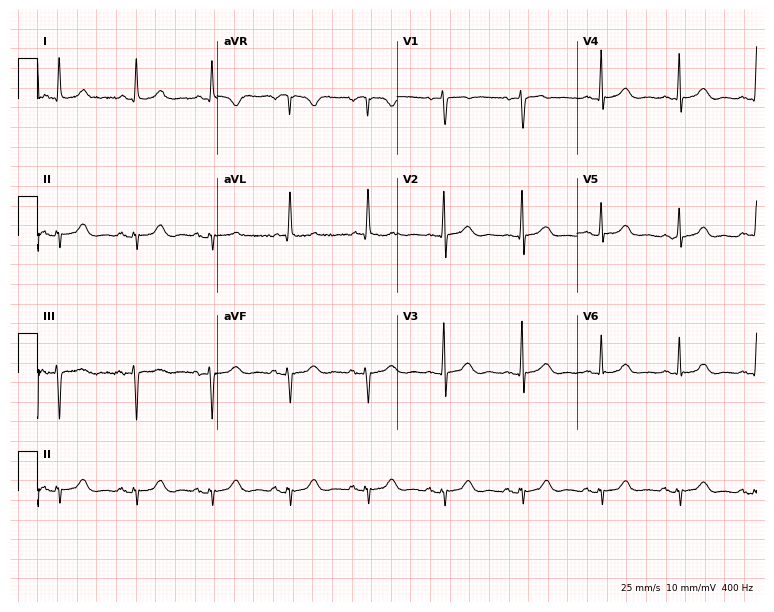
Resting 12-lead electrocardiogram (7.3-second recording at 400 Hz). Patient: a 57-year-old female. None of these six findings is recorded: first-degree AV block, right bundle branch block, left bundle branch block, sinus bradycardia, atrial fibrillation, sinus tachycardia.